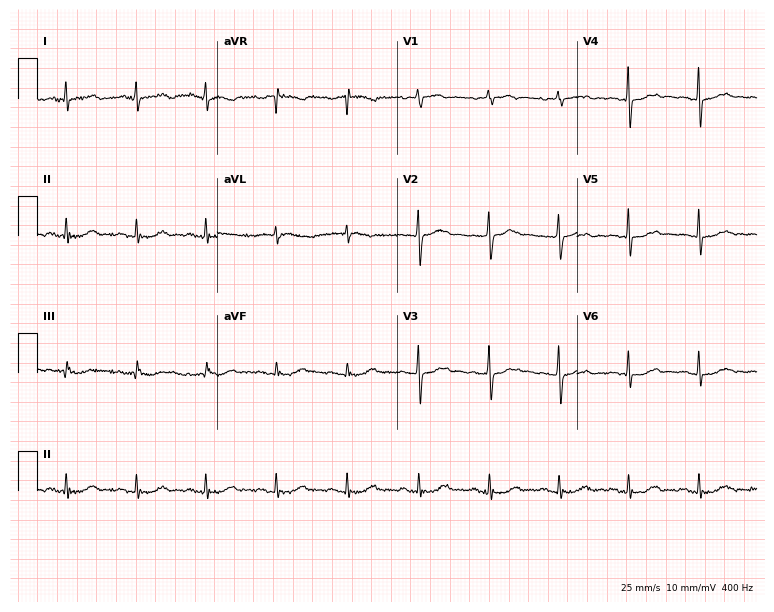
12-lead ECG from a woman, 82 years old (7.3-second recording at 400 Hz). No first-degree AV block, right bundle branch block (RBBB), left bundle branch block (LBBB), sinus bradycardia, atrial fibrillation (AF) or sinus tachycardia recorded for this tracing. Other findings, if any, are not listed.